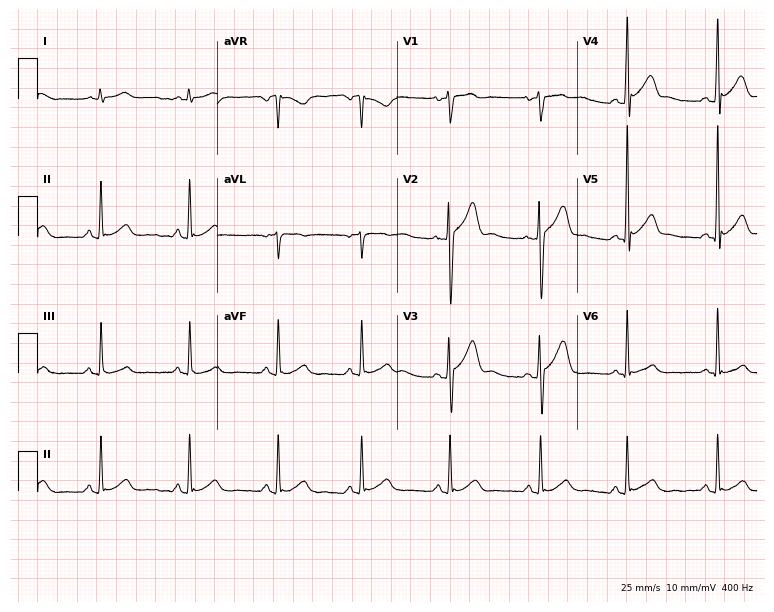
ECG — a male patient, 31 years old. Labelled as a normal ECG.